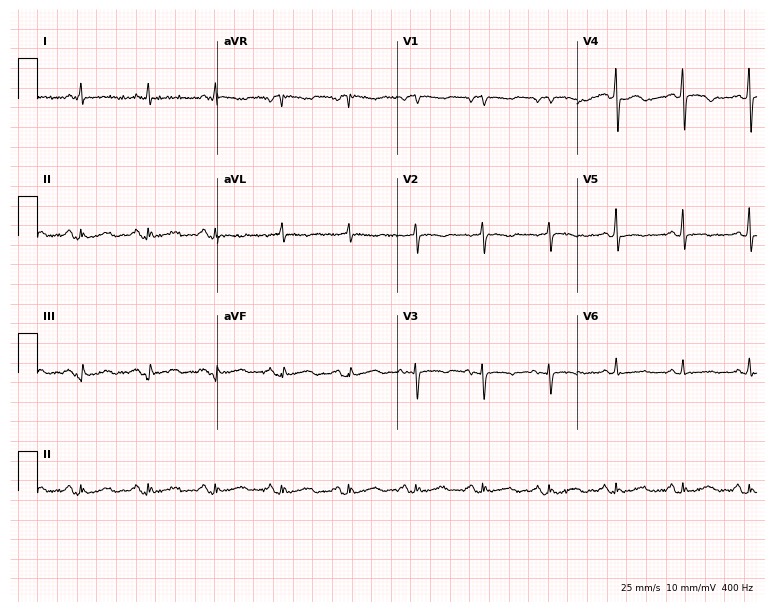
Electrocardiogram (7.3-second recording at 400 Hz), a female patient, 55 years old. Of the six screened findings (first-degree AV block, right bundle branch block (RBBB), left bundle branch block (LBBB), sinus bradycardia, atrial fibrillation (AF), sinus tachycardia), none is recorded. Findings outside these six are not listed.